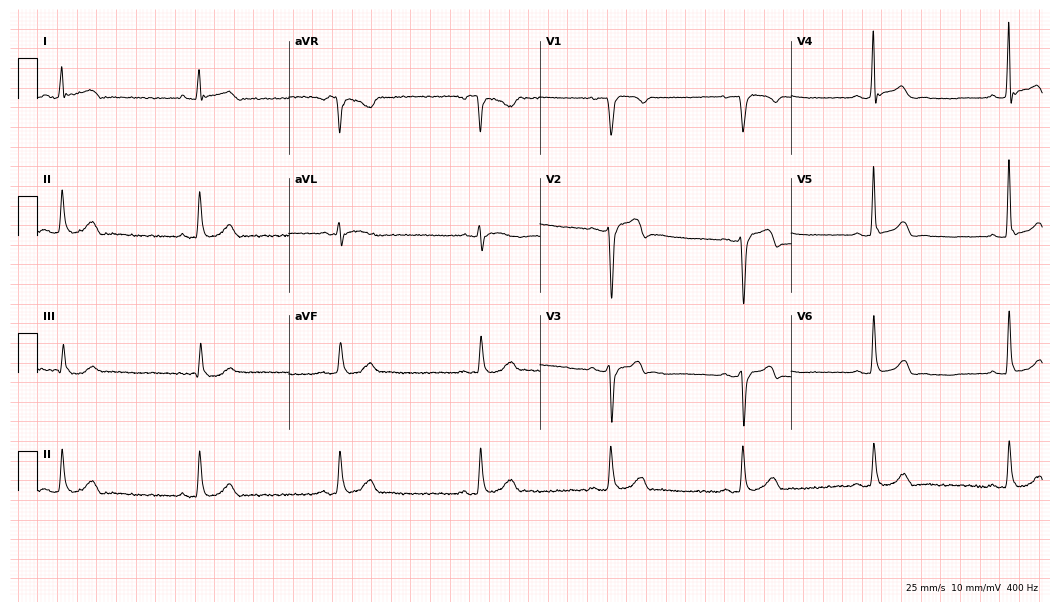
Standard 12-lead ECG recorded from a male patient, 41 years old (10.2-second recording at 400 Hz). None of these six findings is recorded: first-degree AV block, right bundle branch block, left bundle branch block, sinus bradycardia, atrial fibrillation, sinus tachycardia.